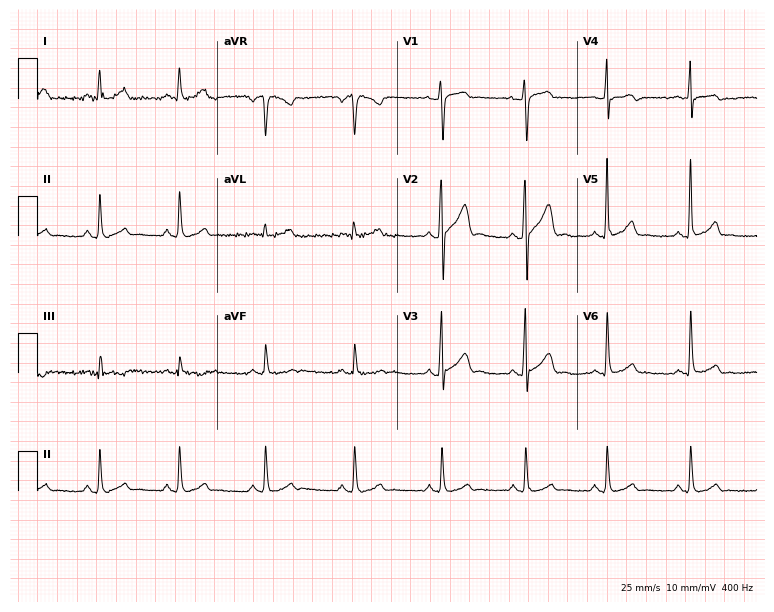
Electrocardiogram, a male patient, 24 years old. Overall reading on record: normal ECG.